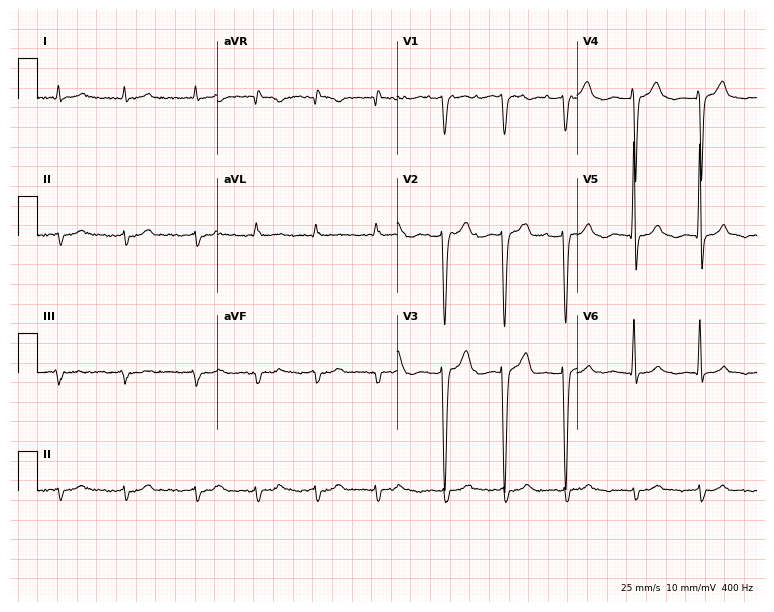
12-lead ECG (7.3-second recording at 400 Hz) from a male, 76 years old. Screened for six findings — first-degree AV block, right bundle branch block (RBBB), left bundle branch block (LBBB), sinus bradycardia, atrial fibrillation (AF), sinus tachycardia — none is recorded. Findings outside these six are not listed.